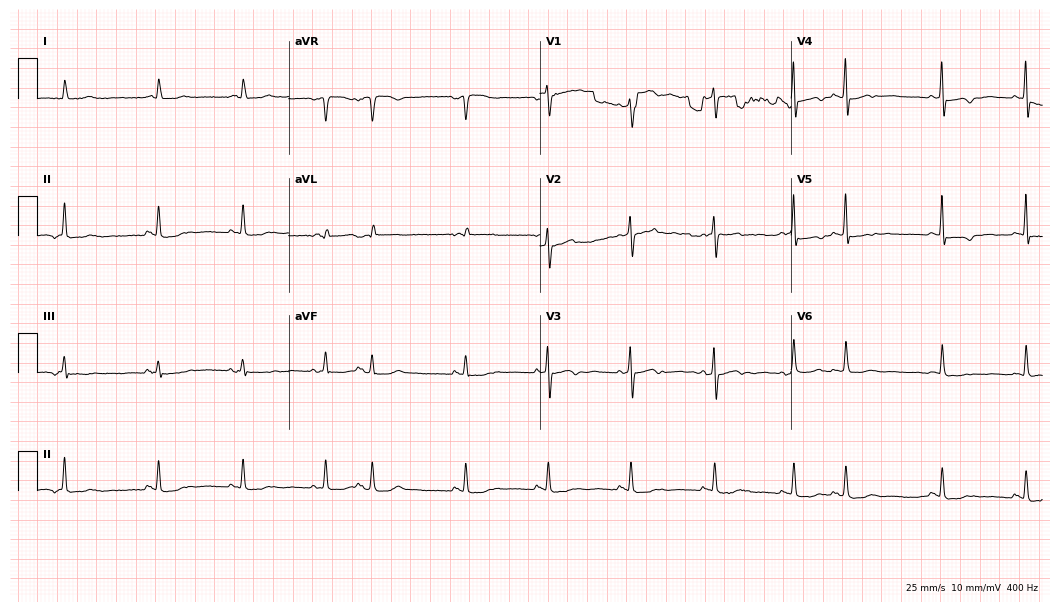
Electrocardiogram, a female, 78 years old. Of the six screened findings (first-degree AV block, right bundle branch block, left bundle branch block, sinus bradycardia, atrial fibrillation, sinus tachycardia), none is recorded. Findings outside these six are not listed.